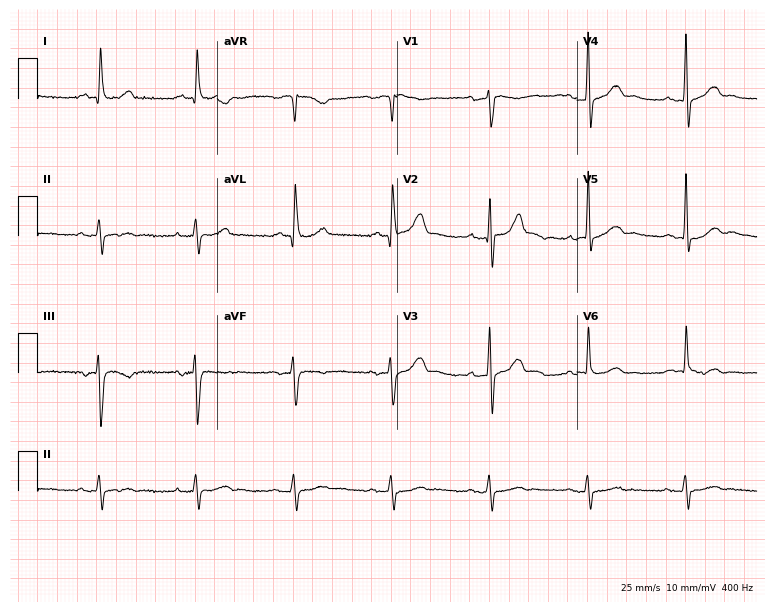
Electrocardiogram (7.3-second recording at 400 Hz), a male, 72 years old. Of the six screened findings (first-degree AV block, right bundle branch block, left bundle branch block, sinus bradycardia, atrial fibrillation, sinus tachycardia), none is recorded.